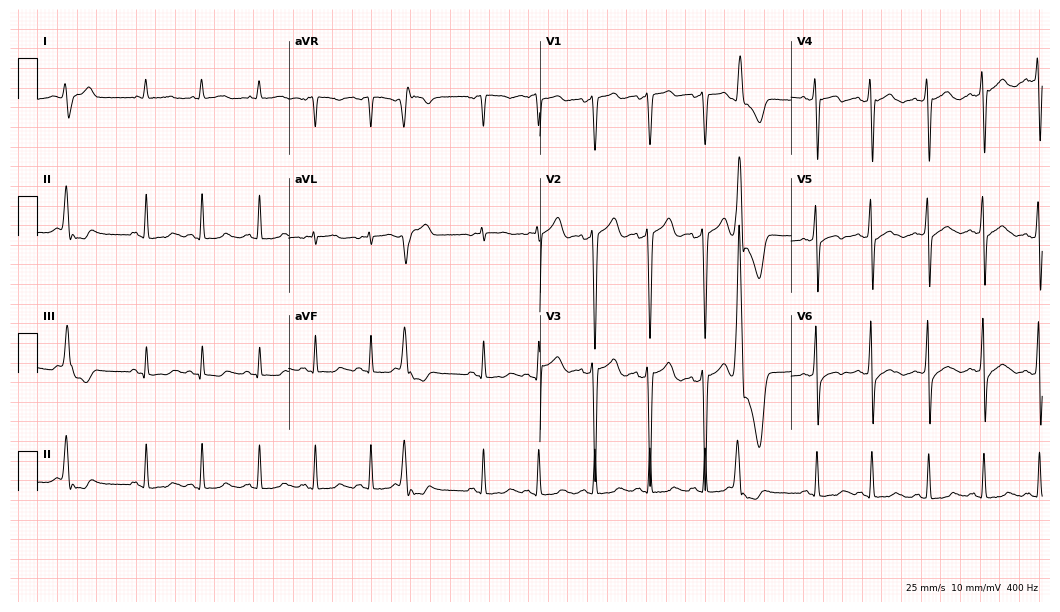
Standard 12-lead ECG recorded from a male patient, 57 years old. The tracing shows sinus tachycardia (a sinus rate of 100 beats per minute or more).